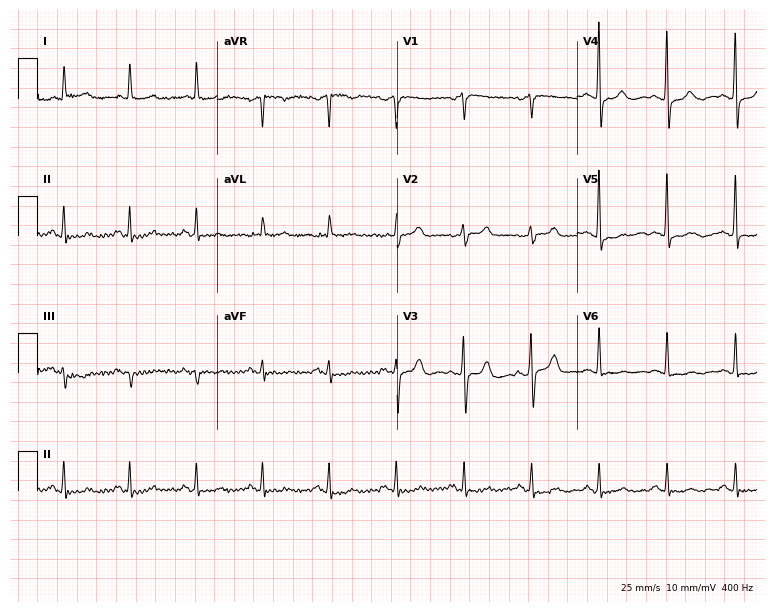
12-lead ECG from a man, 85 years old (7.3-second recording at 400 Hz). Recorded interpretation: within normal limits.